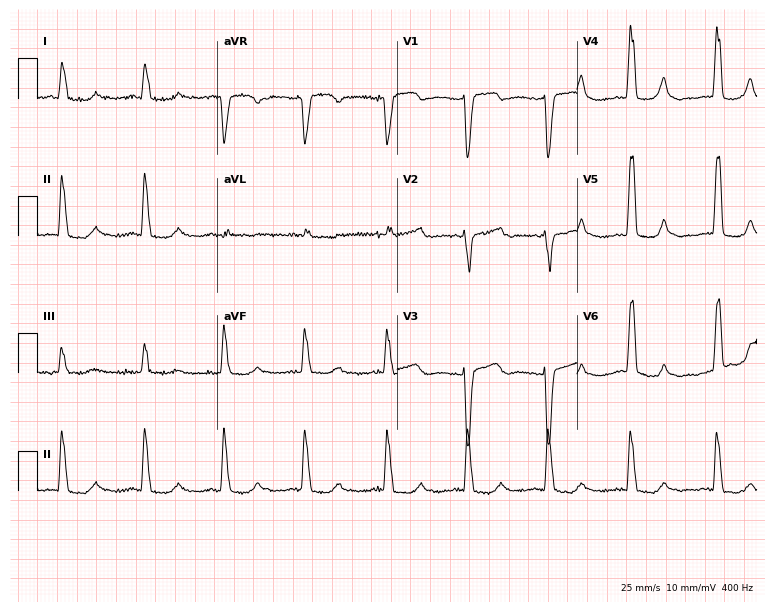
Standard 12-lead ECG recorded from a 72-year-old woman (7.3-second recording at 400 Hz). The tracing shows left bundle branch block (LBBB).